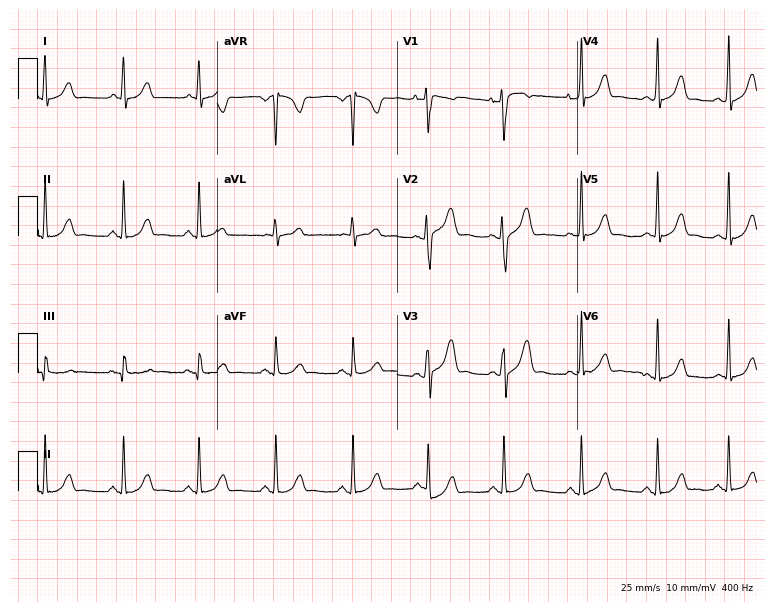
12-lead ECG (7.3-second recording at 400 Hz) from a woman, 23 years old. Labelled as a normal ECG.